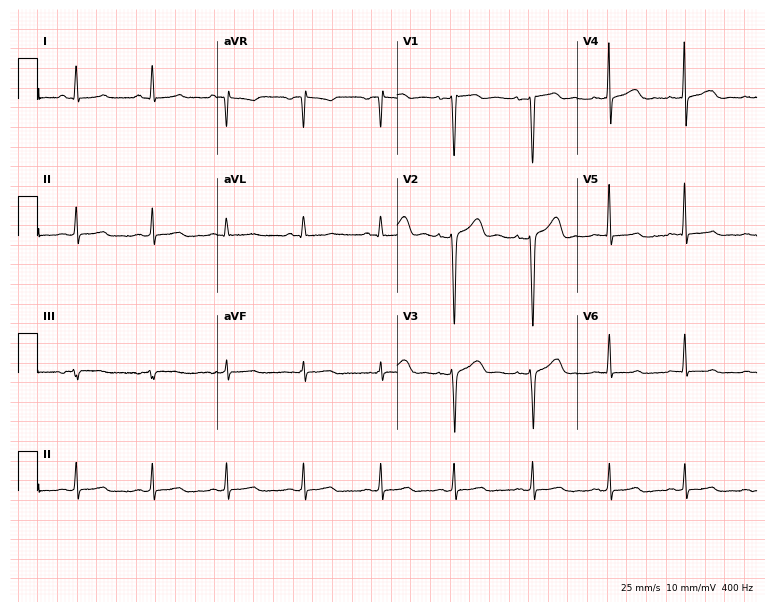
Standard 12-lead ECG recorded from a 41-year-old woman (7.3-second recording at 400 Hz). None of these six findings is recorded: first-degree AV block, right bundle branch block (RBBB), left bundle branch block (LBBB), sinus bradycardia, atrial fibrillation (AF), sinus tachycardia.